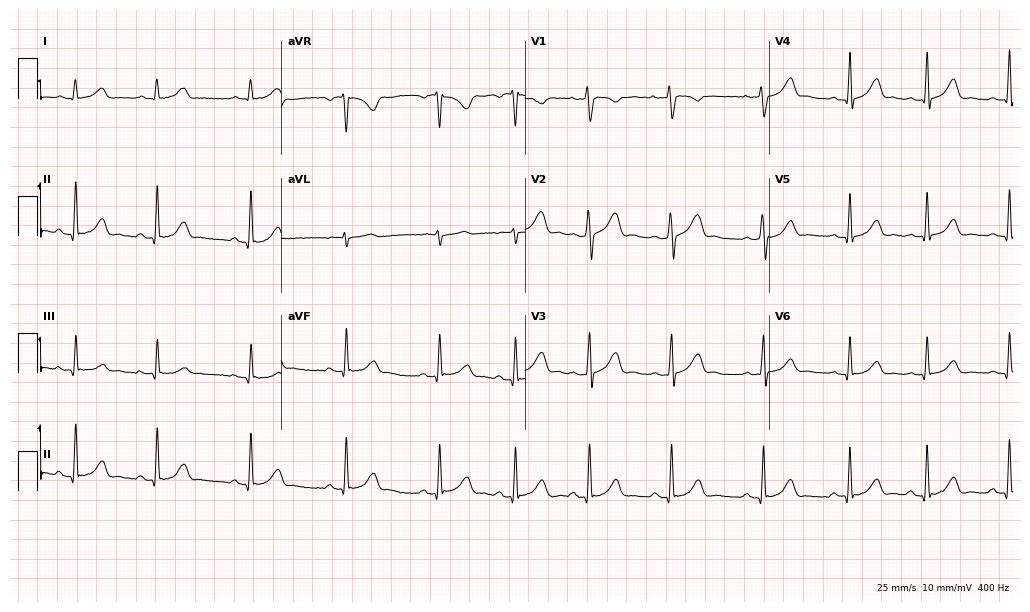
Standard 12-lead ECG recorded from a woman, 24 years old (9.9-second recording at 400 Hz). Read as a normal ECG.